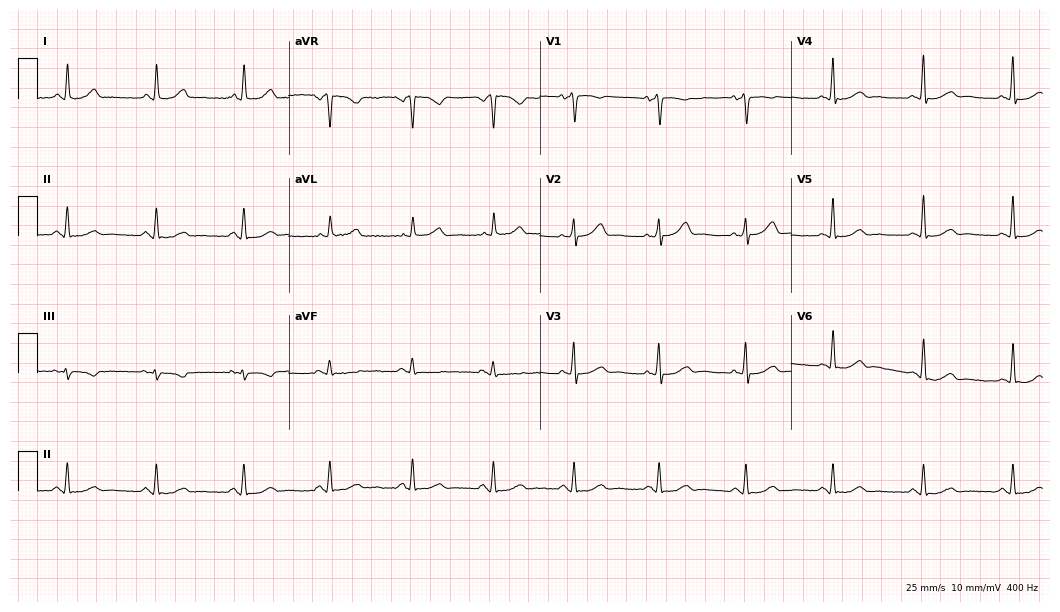
12-lead ECG from a woman, 46 years old (10.2-second recording at 400 Hz). Recorded interpretation: within normal limits.